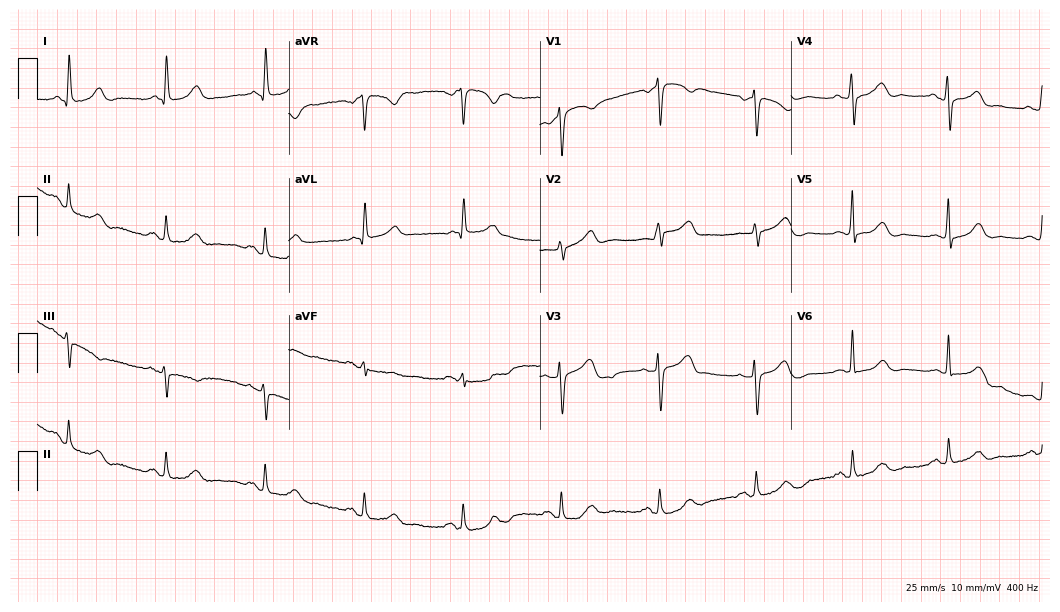
ECG (10.2-second recording at 400 Hz) — a 74-year-old female. Screened for six findings — first-degree AV block, right bundle branch block, left bundle branch block, sinus bradycardia, atrial fibrillation, sinus tachycardia — none is recorded. Other findings, if any, are not listed.